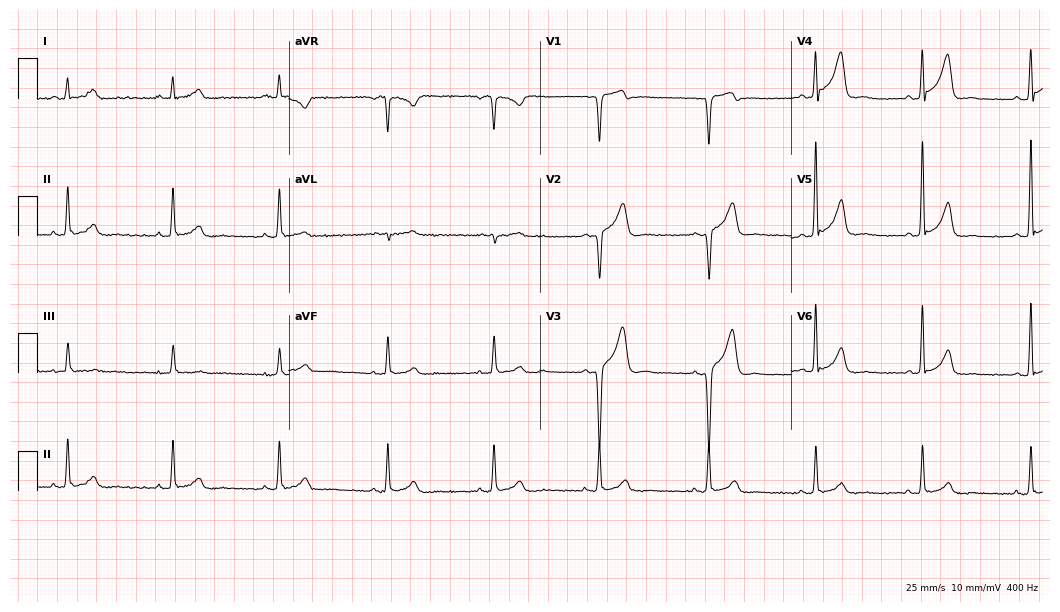
12-lead ECG from a man, 58 years old (10.2-second recording at 400 Hz). Recorded interpretation: within normal limits.